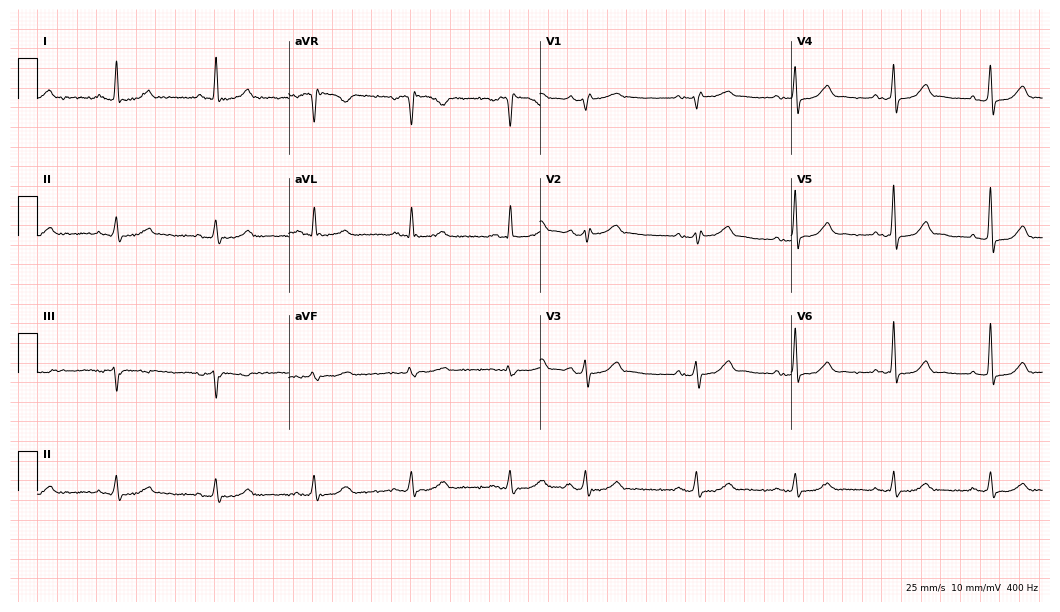
Standard 12-lead ECG recorded from a man, 69 years old. None of these six findings is recorded: first-degree AV block, right bundle branch block, left bundle branch block, sinus bradycardia, atrial fibrillation, sinus tachycardia. Findings outside these six are not listed.